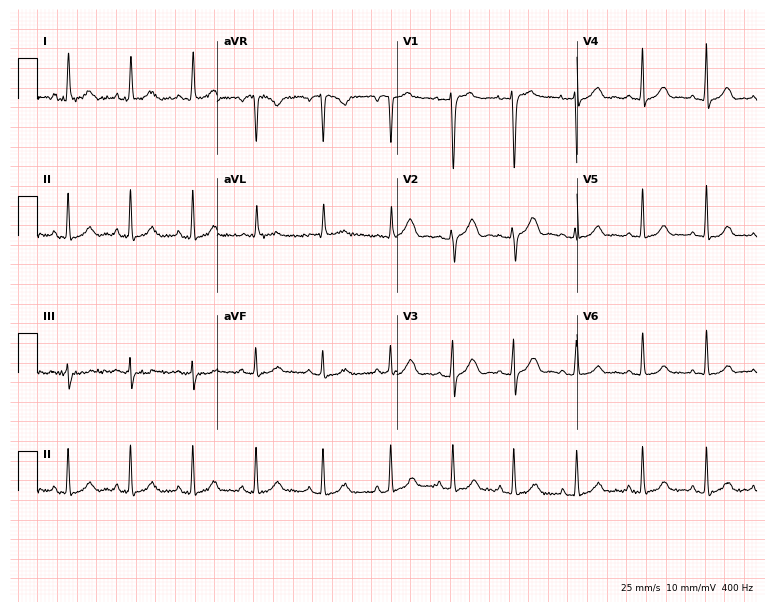
Electrocardiogram (7.3-second recording at 400 Hz), a female patient, 22 years old. Of the six screened findings (first-degree AV block, right bundle branch block, left bundle branch block, sinus bradycardia, atrial fibrillation, sinus tachycardia), none is recorded.